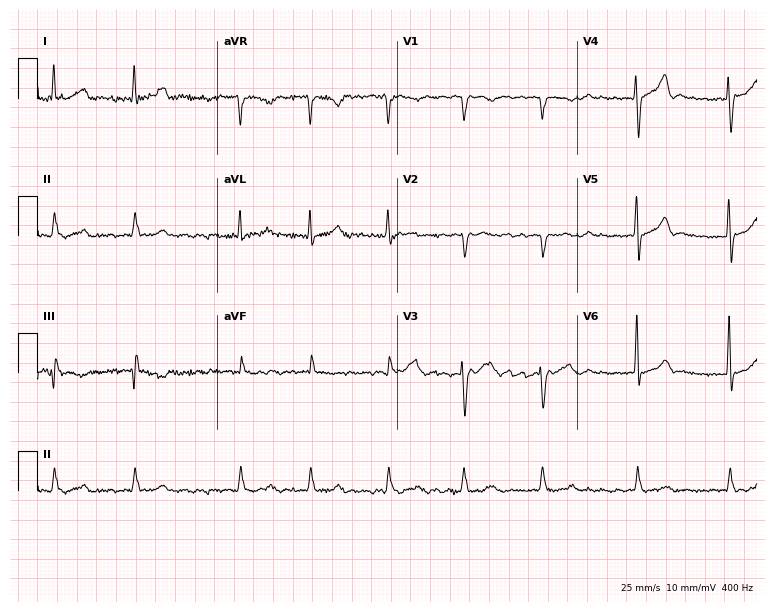
Electrocardiogram, a male patient, 67 years old. Interpretation includes atrial fibrillation (AF).